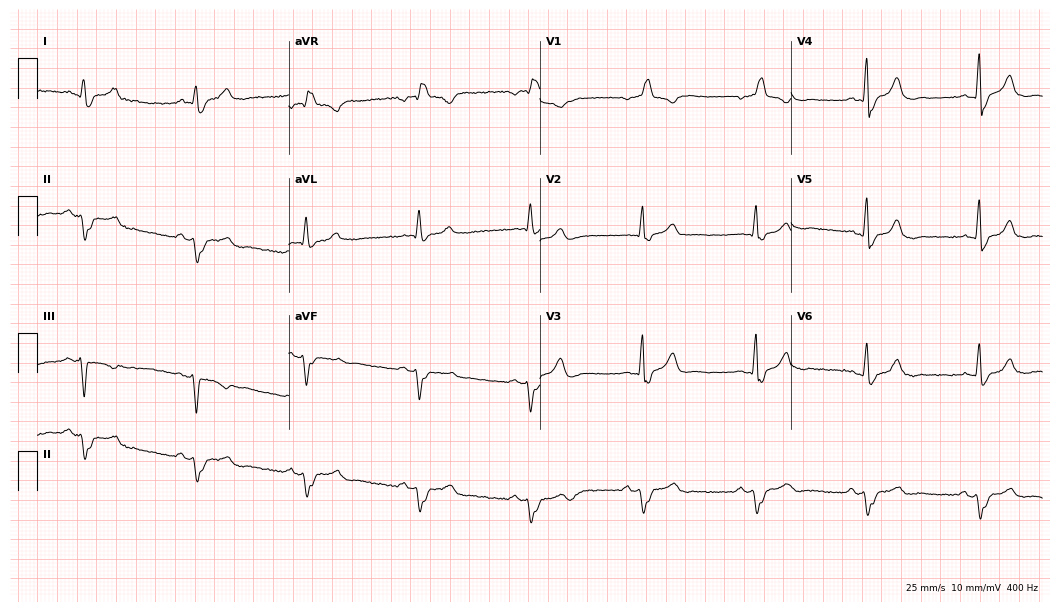
12-lead ECG (10.2-second recording at 400 Hz) from a male patient, 65 years old. Findings include right bundle branch block.